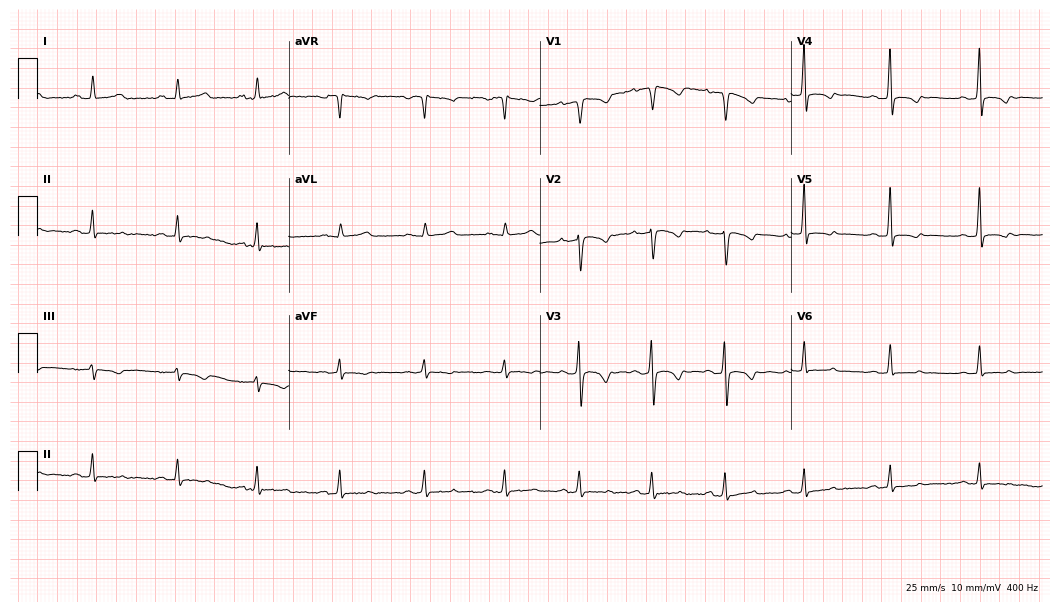
Resting 12-lead electrocardiogram. Patient: a female, 31 years old. None of these six findings is recorded: first-degree AV block, right bundle branch block, left bundle branch block, sinus bradycardia, atrial fibrillation, sinus tachycardia.